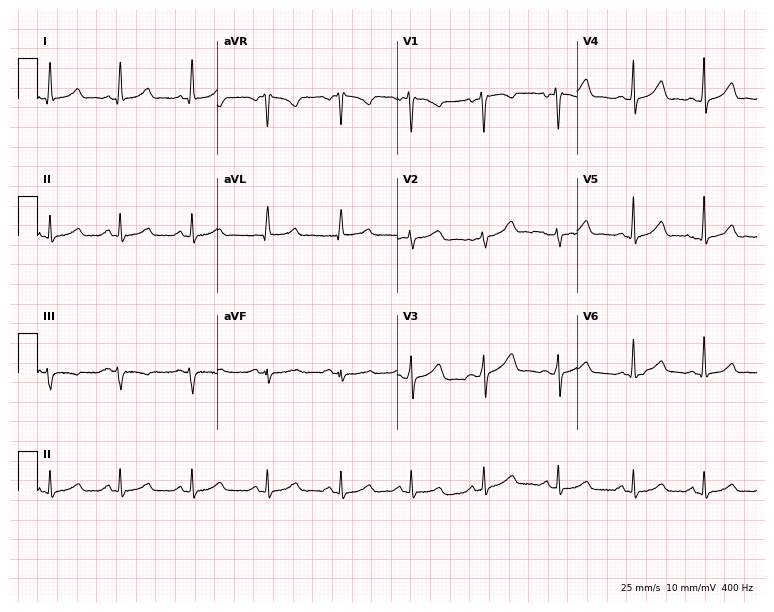
ECG (7.3-second recording at 400 Hz) — a woman, 42 years old. Labelled as a normal ECG.